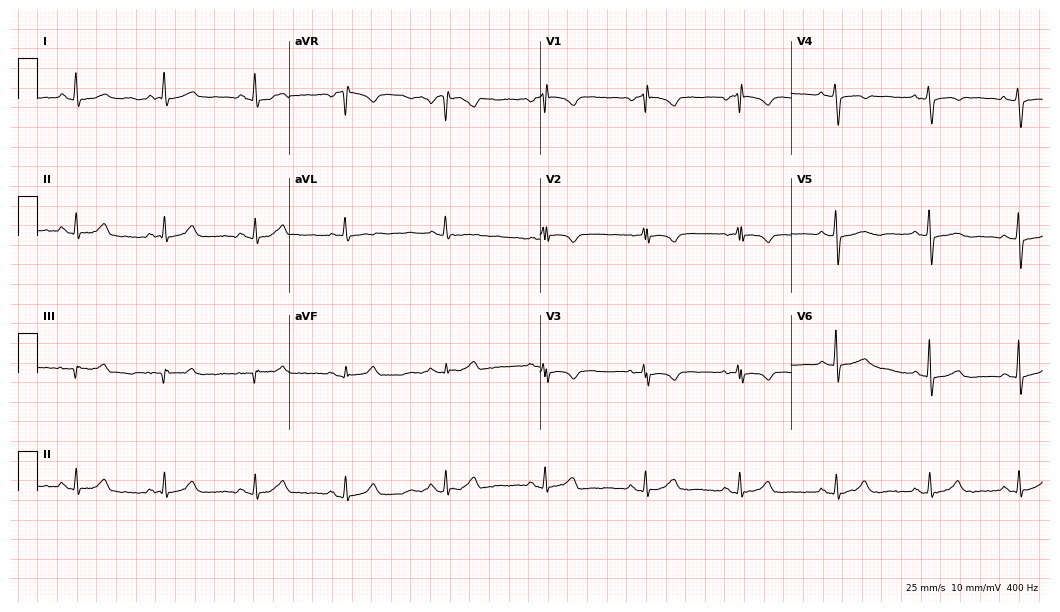
12-lead ECG from a 77-year-old woman (10.2-second recording at 400 Hz). No first-degree AV block, right bundle branch block (RBBB), left bundle branch block (LBBB), sinus bradycardia, atrial fibrillation (AF) or sinus tachycardia recorded for this tracing.